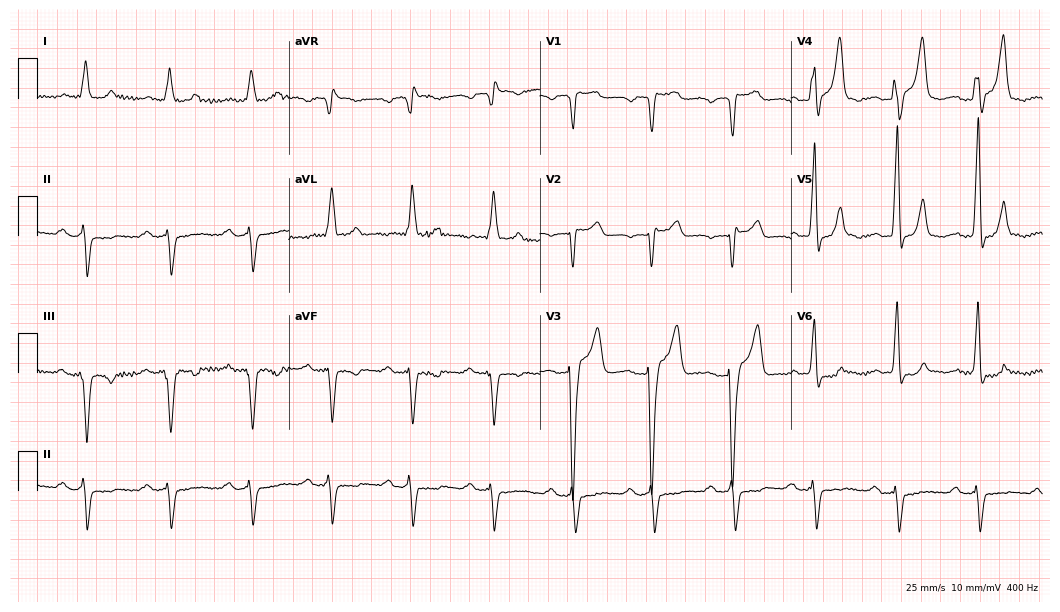
Standard 12-lead ECG recorded from a 79-year-old male (10.2-second recording at 400 Hz). The tracing shows left bundle branch block.